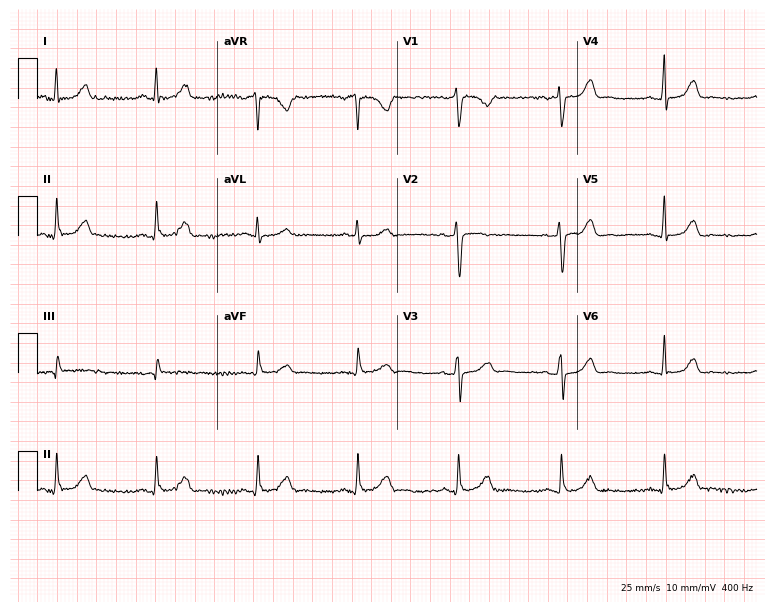
Standard 12-lead ECG recorded from a 40-year-old female patient (7.3-second recording at 400 Hz). Read as a normal ECG.